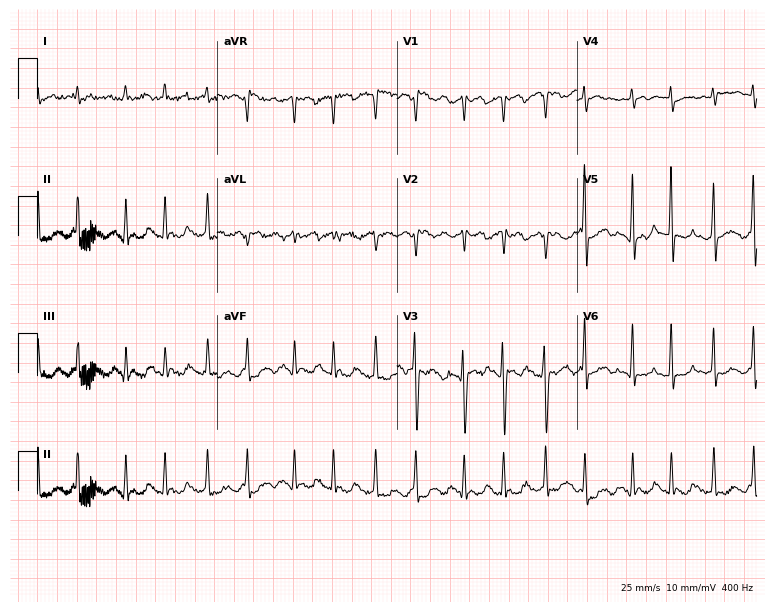
Standard 12-lead ECG recorded from a male patient, 50 years old (7.3-second recording at 400 Hz). None of these six findings is recorded: first-degree AV block, right bundle branch block, left bundle branch block, sinus bradycardia, atrial fibrillation, sinus tachycardia. Findings outside these six are not listed.